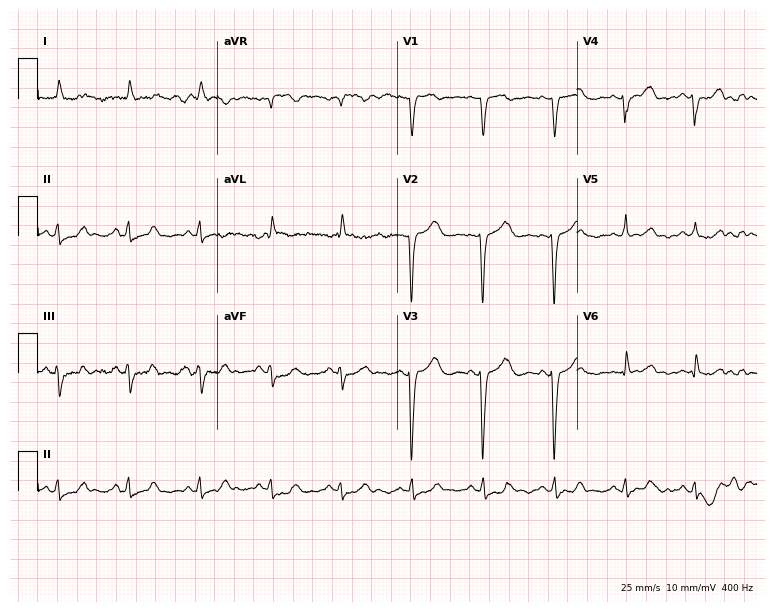
12-lead ECG (7.3-second recording at 400 Hz) from a 77-year-old female. Screened for six findings — first-degree AV block, right bundle branch block, left bundle branch block, sinus bradycardia, atrial fibrillation, sinus tachycardia — none is recorded. Other findings, if any, are not listed.